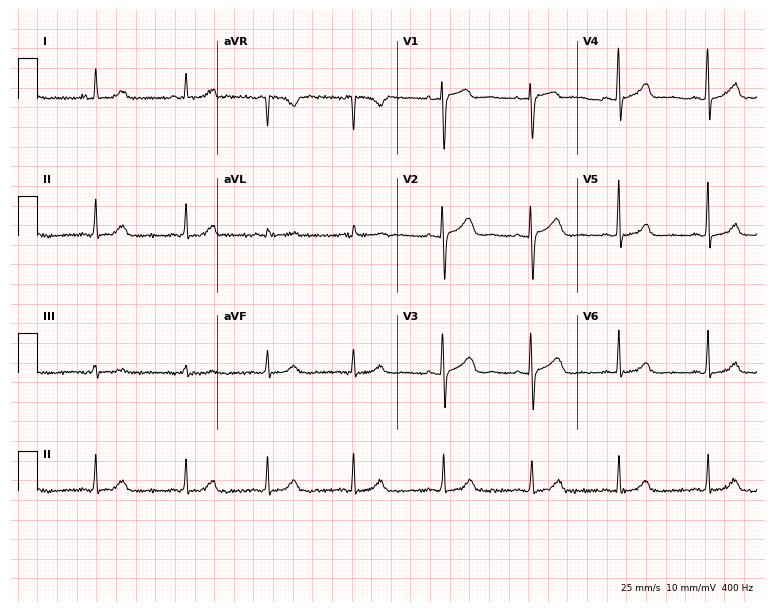
ECG (7.3-second recording at 400 Hz) — a female patient, 44 years old. Screened for six findings — first-degree AV block, right bundle branch block (RBBB), left bundle branch block (LBBB), sinus bradycardia, atrial fibrillation (AF), sinus tachycardia — none is recorded. Other findings, if any, are not listed.